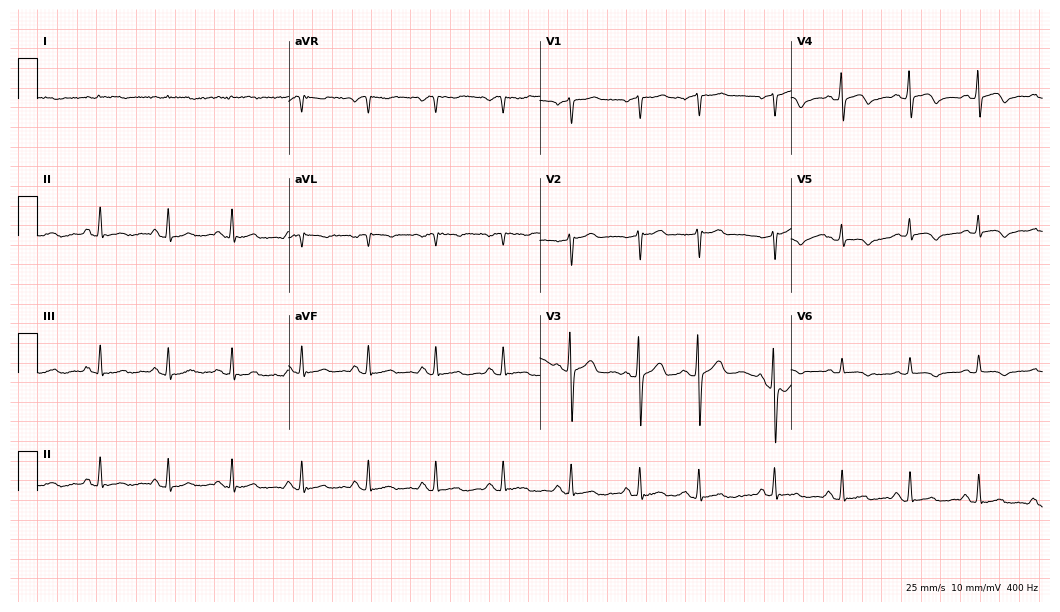
12-lead ECG from a male, 85 years old. Screened for six findings — first-degree AV block, right bundle branch block, left bundle branch block, sinus bradycardia, atrial fibrillation, sinus tachycardia — none is recorded.